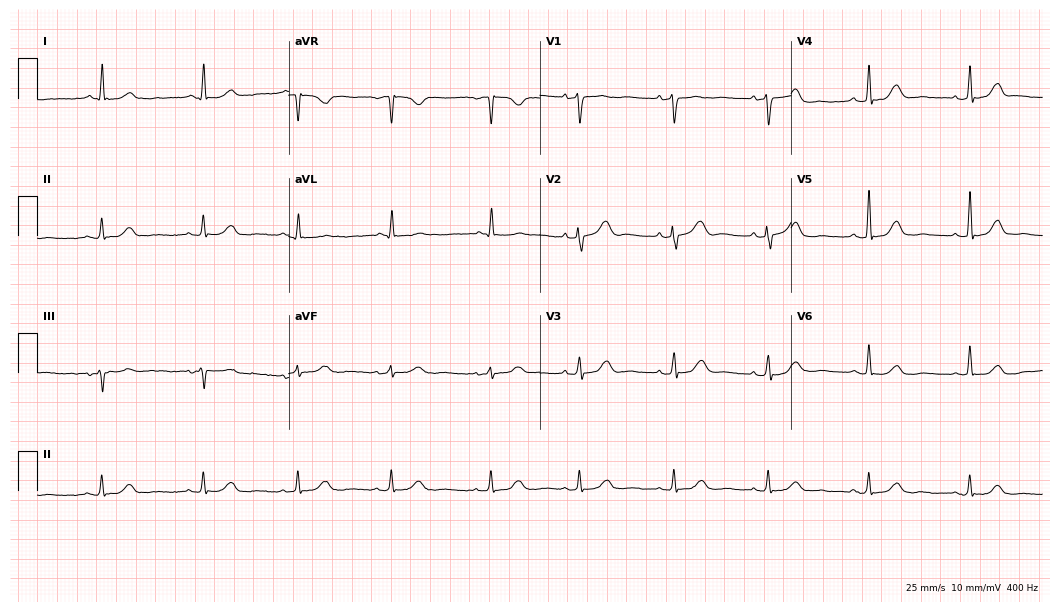
Standard 12-lead ECG recorded from a 76-year-old female patient (10.2-second recording at 400 Hz). Read as a normal ECG.